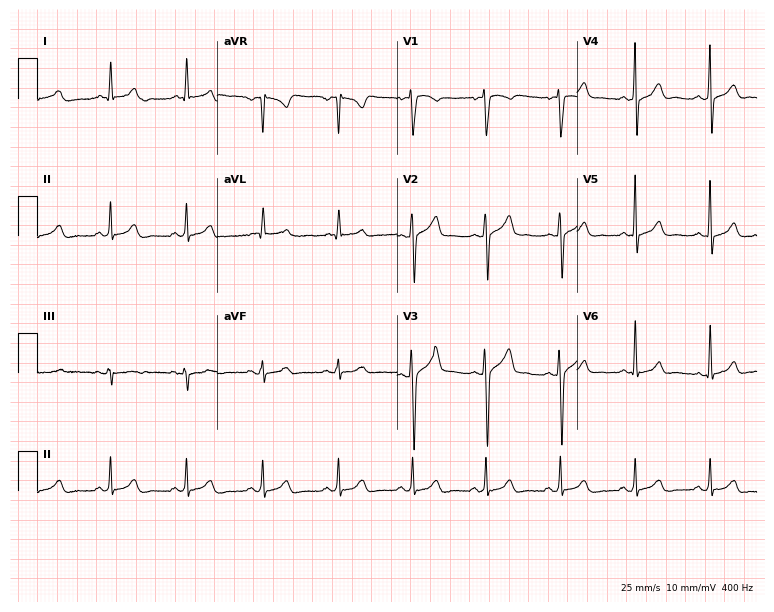
Standard 12-lead ECG recorded from a male, 38 years old (7.3-second recording at 400 Hz). None of these six findings is recorded: first-degree AV block, right bundle branch block, left bundle branch block, sinus bradycardia, atrial fibrillation, sinus tachycardia. Findings outside these six are not listed.